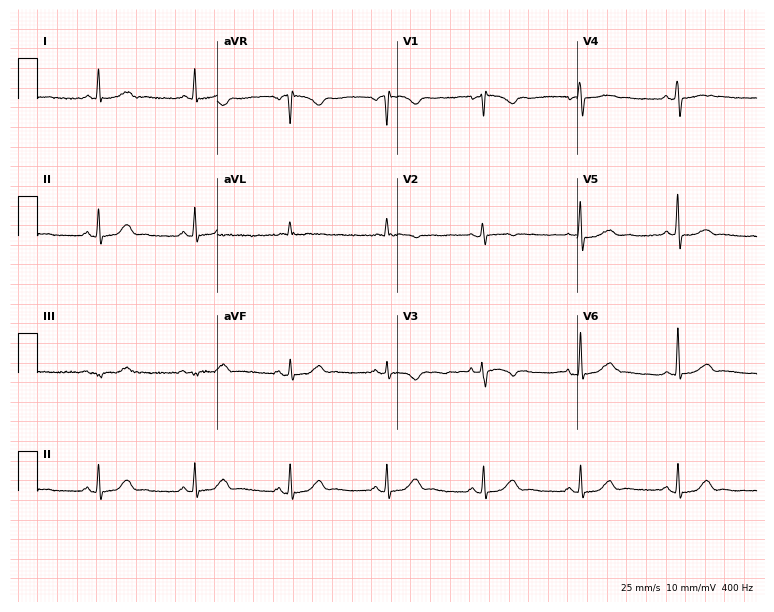
Standard 12-lead ECG recorded from a 70-year-old female. None of these six findings is recorded: first-degree AV block, right bundle branch block, left bundle branch block, sinus bradycardia, atrial fibrillation, sinus tachycardia.